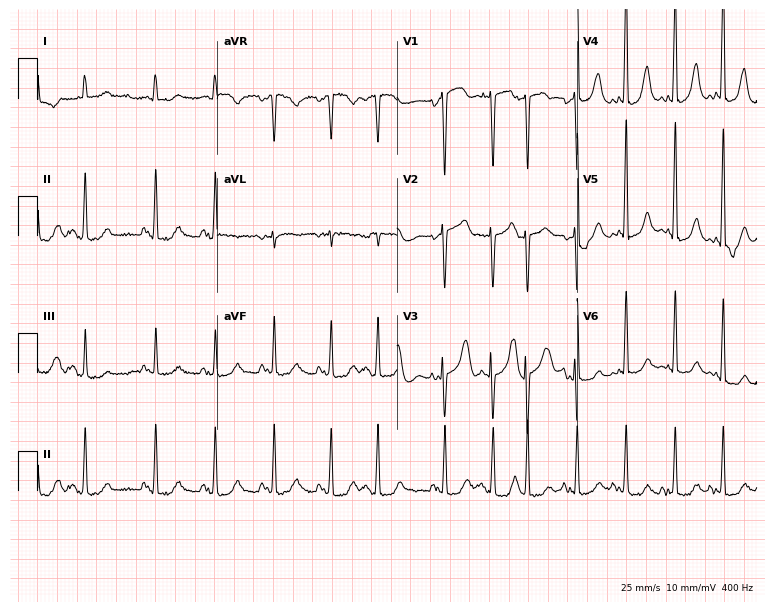
Electrocardiogram, a 68-year-old woman. Interpretation includes sinus tachycardia (a sinus rate of 100 beats per minute or more).